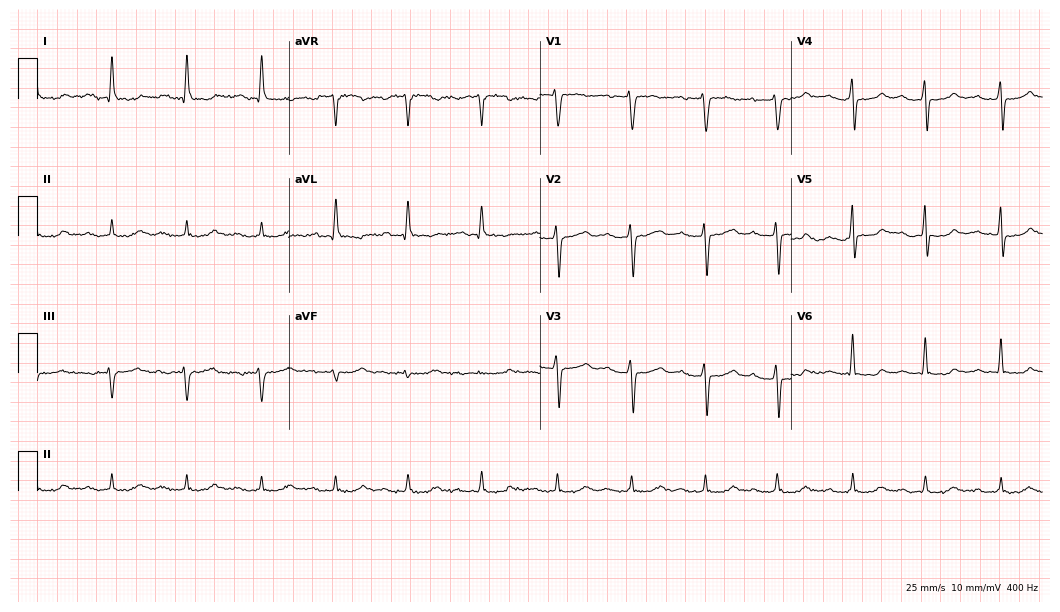
12-lead ECG from a 73-year-old man (10.2-second recording at 400 Hz). Shows first-degree AV block.